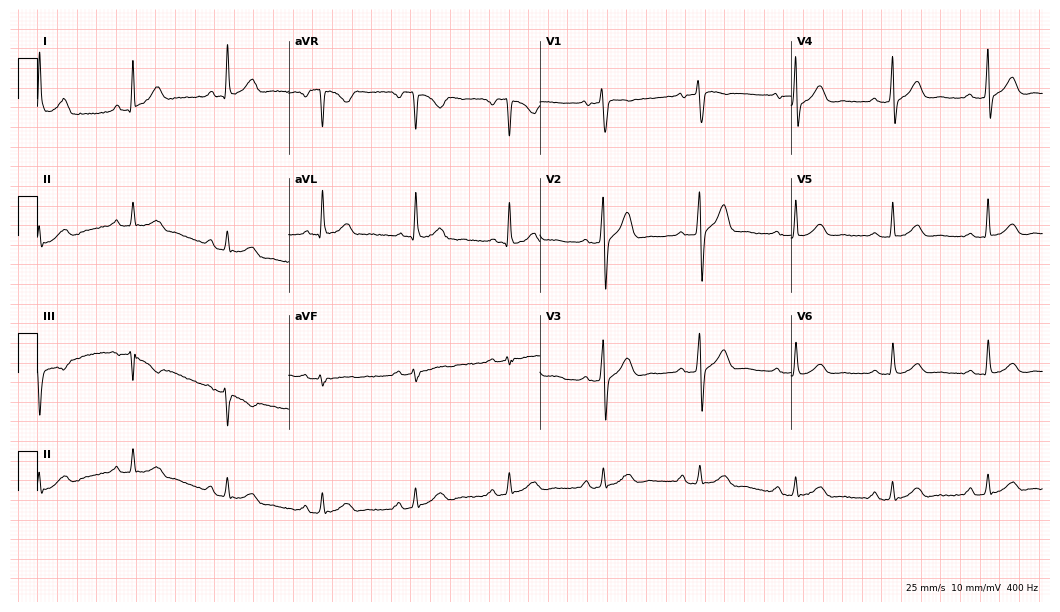
12-lead ECG from a male patient, 58 years old. Labelled as a normal ECG.